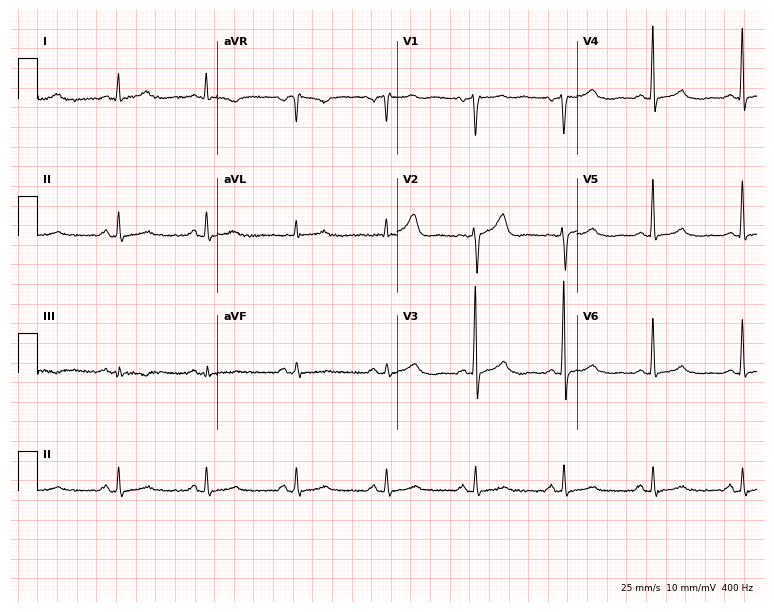
12-lead ECG from a 66-year-old male. Recorded interpretation: within normal limits.